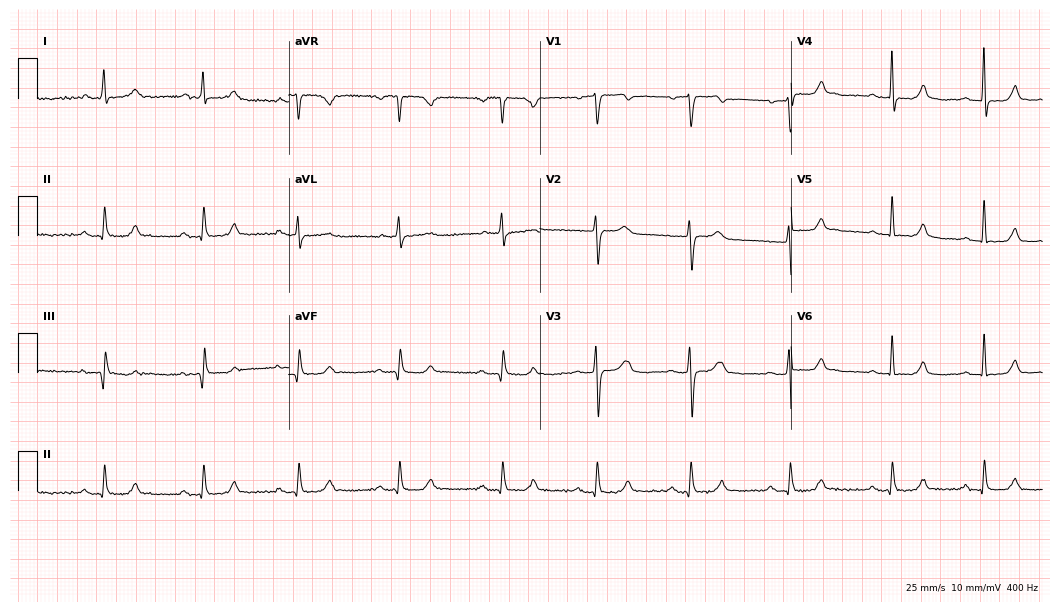
ECG — a 63-year-old woman. Screened for six findings — first-degree AV block, right bundle branch block, left bundle branch block, sinus bradycardia, atrial fibrillation, sinus tachycardia — none is recorded. Findings outside these six are not listed.